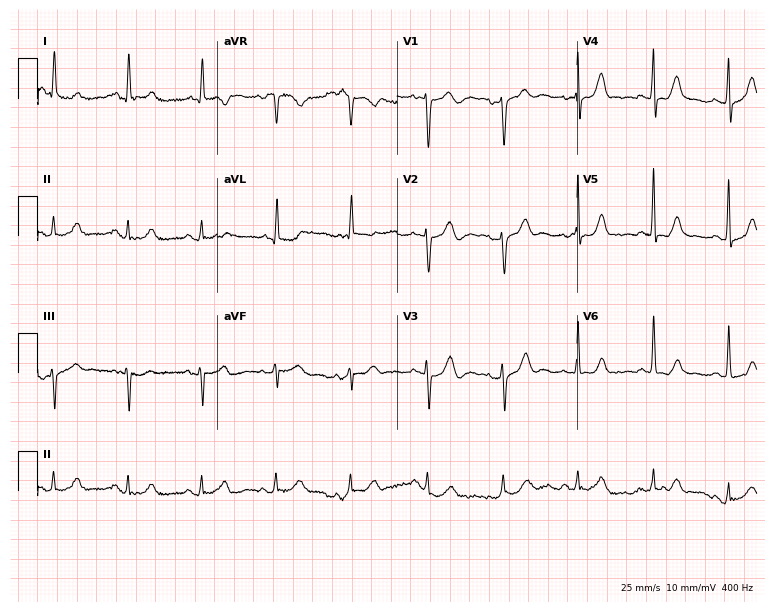
Resting 12-lead electrocardiogram. Patient: a female, 61 years old. None of these six findings is recorded: first-degree AV block, right bundle branch block, left bundle branch block, sinus bradycardia, atrial fibrillation, sinus tachycardia. Only these six findings were labelled.